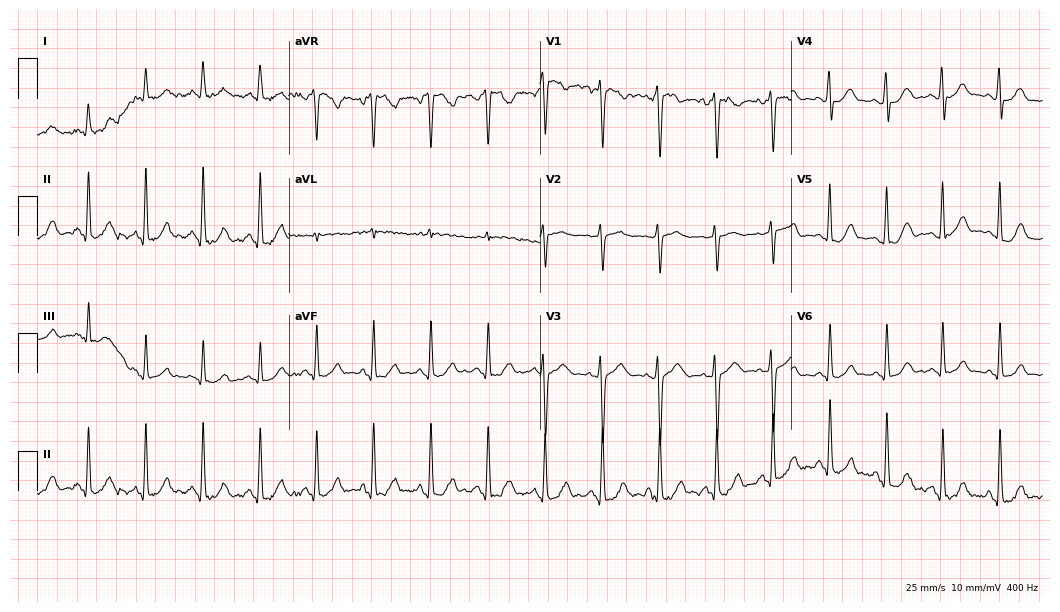
Electrocardiogram, a woman, 18 years old. Interpretation includes sinus tachycardia (a sinus rate of 100 beats per minute or more).